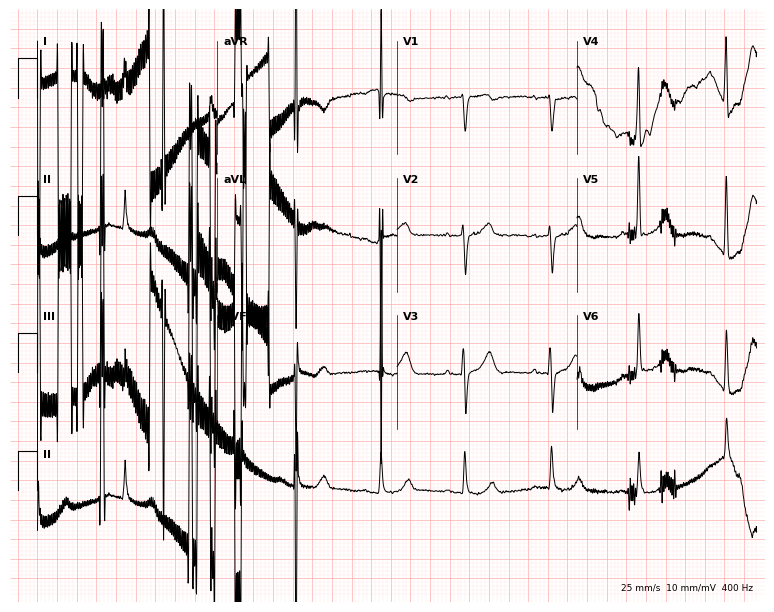
12-lead ECG from an 81-year-old man. Screened for six findings — first-degree AV block, right bundle branch block, left bundle branch block, sinus bradycardia, atrial fibrillation, sinus tachycardia — none is recorded. Other findings, if any, are not listed.